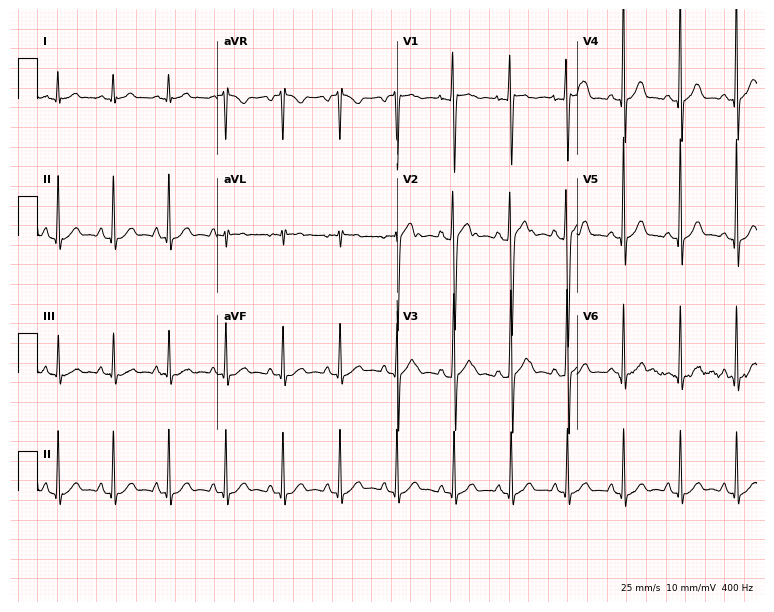
12-lead ECG (7.3-second recording at 400 Hz) from a male patient, 18 years old. Findings include sinus tachycardia (a sinus rate of 100 beats per minute or more).